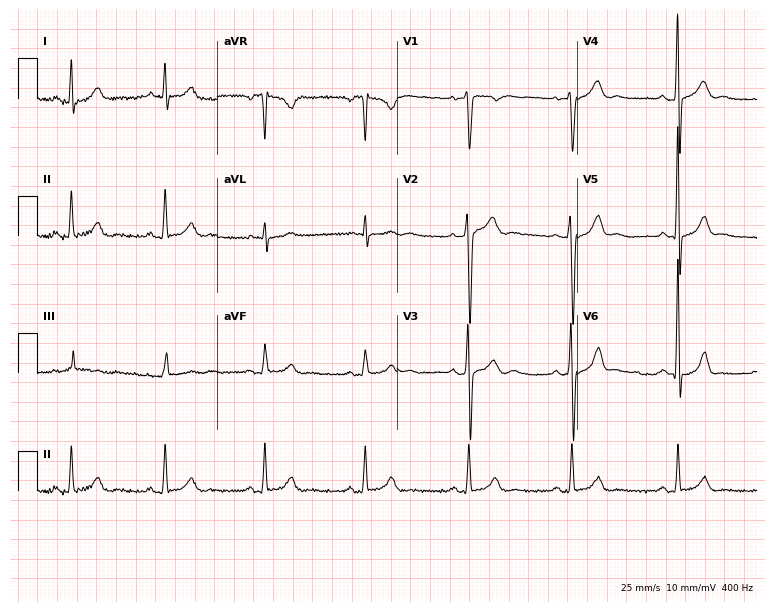
Resting 12-lead electrocardiogram. Patient: a 31-year-old male. None of these six findings is recorded: first-degree AV block, right bundle branch block, left bundle branch block, sinus bradycardia, atrial fibrillation, sinus tachycardia. Other findings, if any, are not listed.